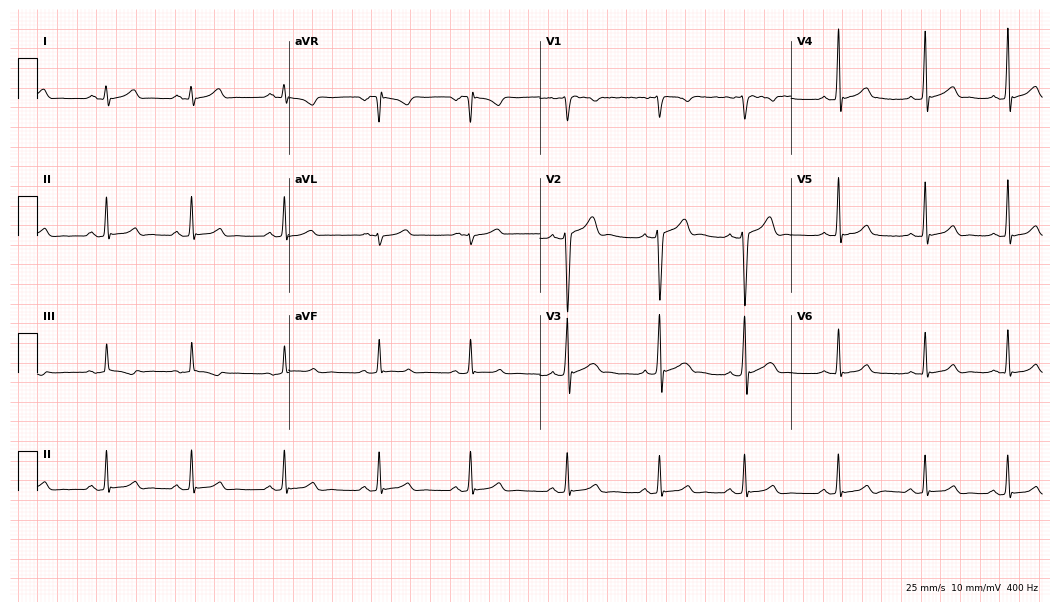
Resting 12-lead electrocardiogram (10.2-second recording at 400 Hz). Patient: a man, 18 years old. Read as a normal ECG.